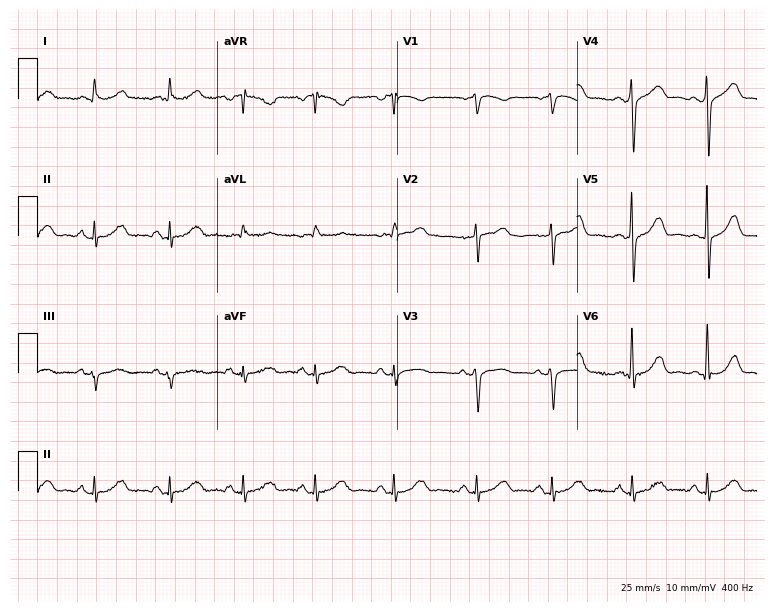
Standard 12-lead ECG recorded from a man, 65 years old. Read as a normal ECG.